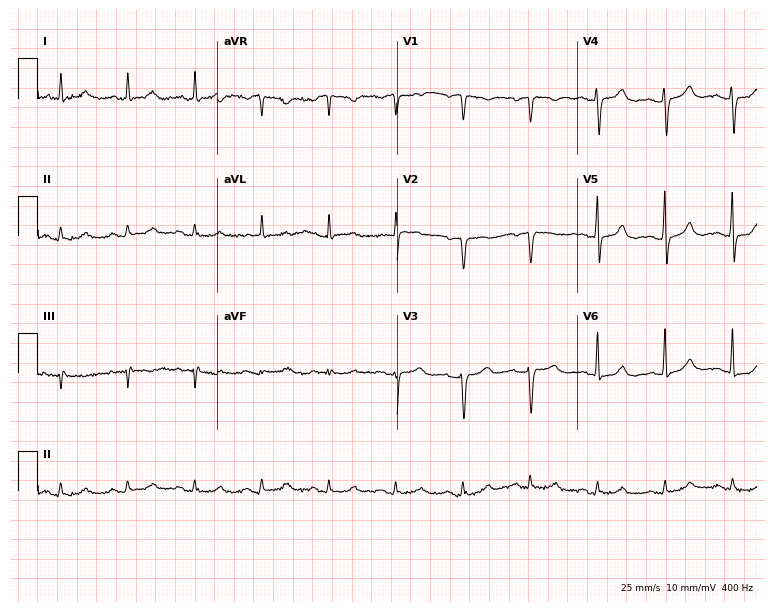
Standard 12-lead ECG recorded from an 85-year-old woman. Read as a normal ECG.